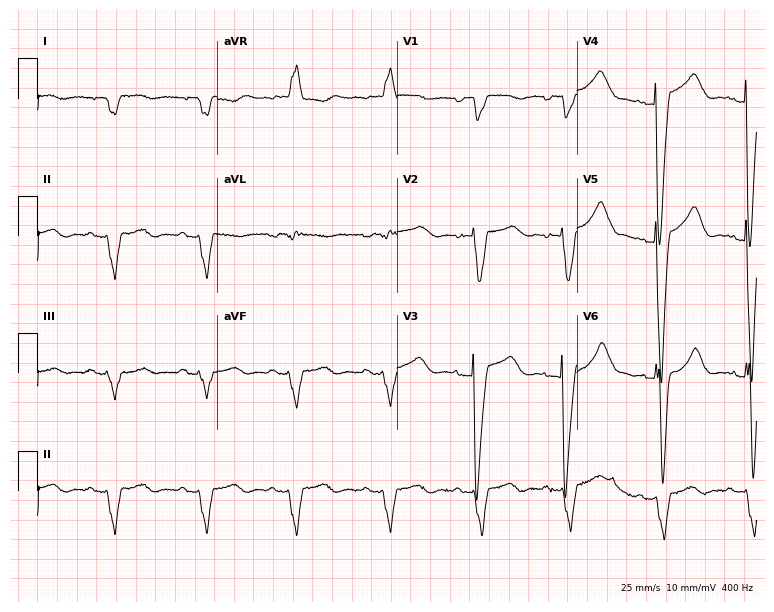
ECG — a 79-year-old woman. Screened for six findings — first-degree AV block, right bundle branch block (RBBB), left bundle branch block (LBBB), sinus bradycardia, atrial fibrillation (AF), sinus tachycardia — none is recorded. Other findings, if any, are not listed.